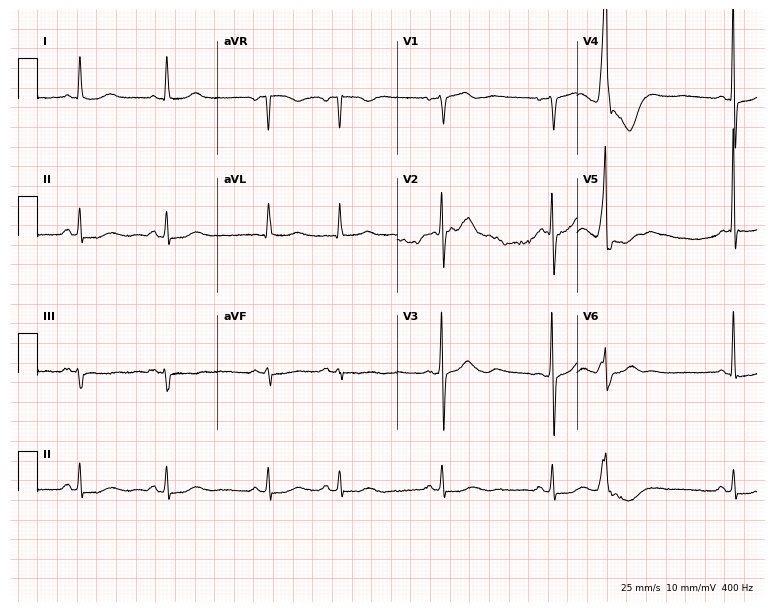
12-lead ECG from an 84-year-old woman. Screened for six findings — first-degree AV block, right bundle branch block, left bundle branch block, sinus bradycardia, atrial fibrillation, sinus tachycardia — none is recorded.